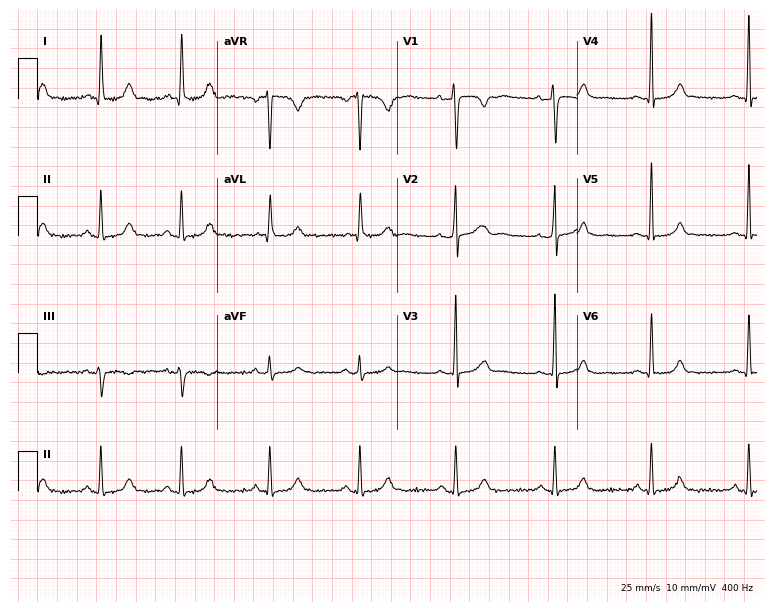
Electrocardiogram (7.3-second recording at 400 Hz), a 35-year-old female patient. Of the six screened findings (first-degree AV block, right bundle branch block (RBBB), left bundle branch block (LBBB), sinus bradycardia, atrial fibrillation (AF), sinus tachycardia), none is recorded. Only these six findings were labelled.